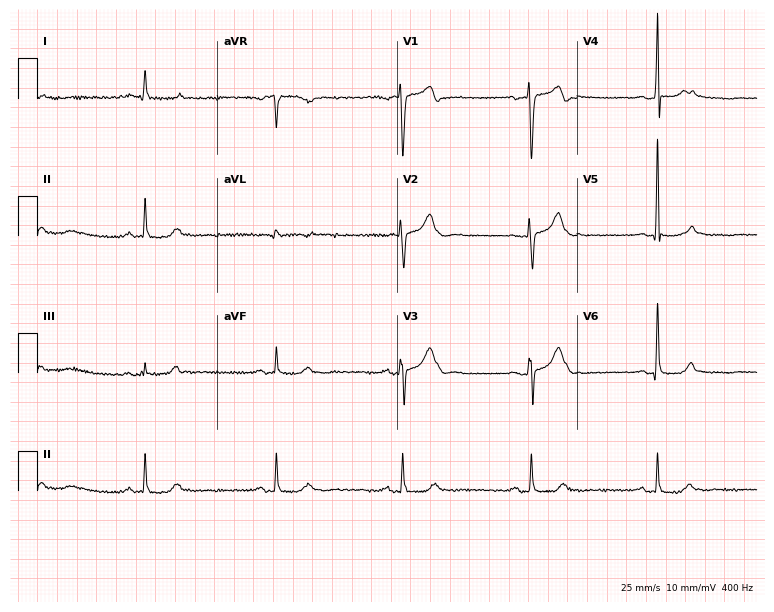
12-lead ECG from a male, 46 years old. No first-degree AV block, right bundle branch block, left bundle branch block, sinus bradycardia, atrial fibrillation or sinus tachycardia recorded for this tracing.